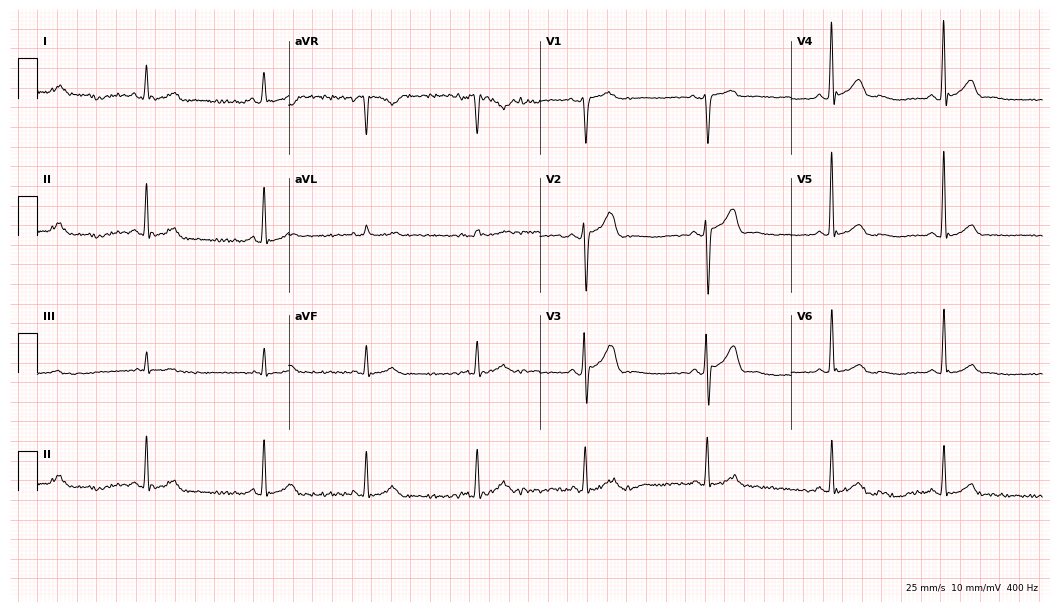
Resting 12-lead electrocardiogram (10.2-second recording at 400 Hz). Patient: a male, 36 years old. Read as a normal ECG.